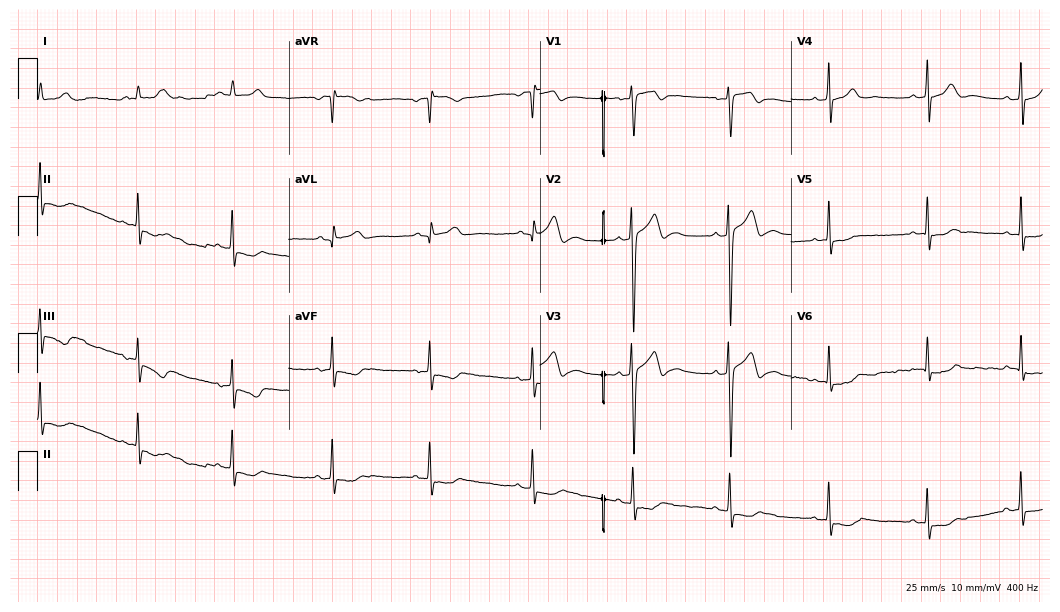
Electrocardiogram, a man, 23 years old. Of the six screened findings (first-degree AV block, right bundle branch block (RBBB), left bundle branch block (LBBB), sinus bradycardia, atrial fibrillation (AF), sinus tachycardia), none is recorded. Findings outside these six are not listed.